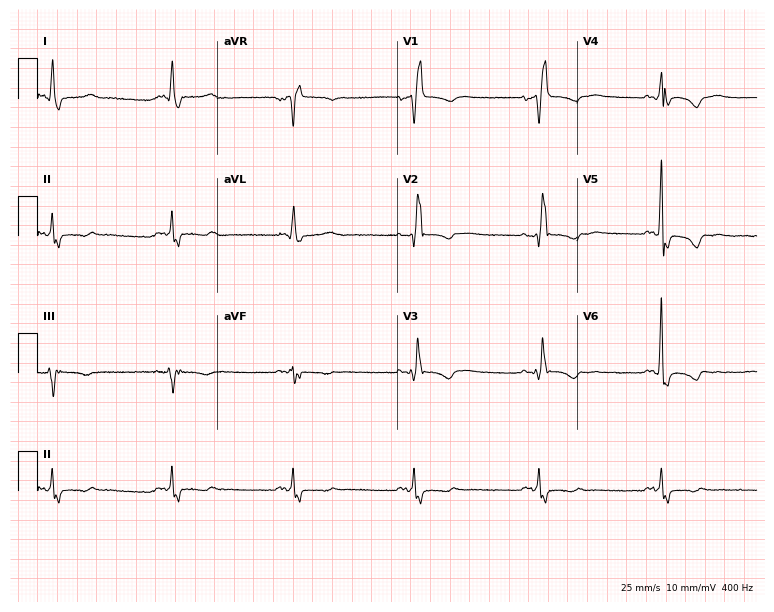
Resting 12-lead electrocardiogram. Patient: a 70-year-old woman. The tracing shows right bundle branch block (RBBB), sinus bradycardia (a sinus rate of 50 beats per minute or less).